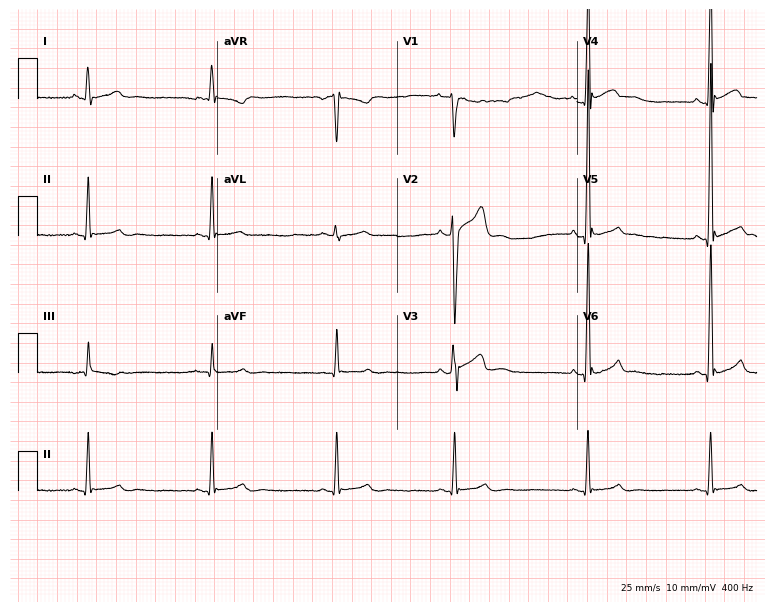
Standard 12-lead ECG recorded from a 27-year-old man (7.3-second recording at 400 Hz). None of these six findings is recorded: first-degree AV block, right bundle branch block, left bundle branch block, sinus bradycardia, atrial fibrillation, sinus tachycardia. Findings outside these six are not listed.